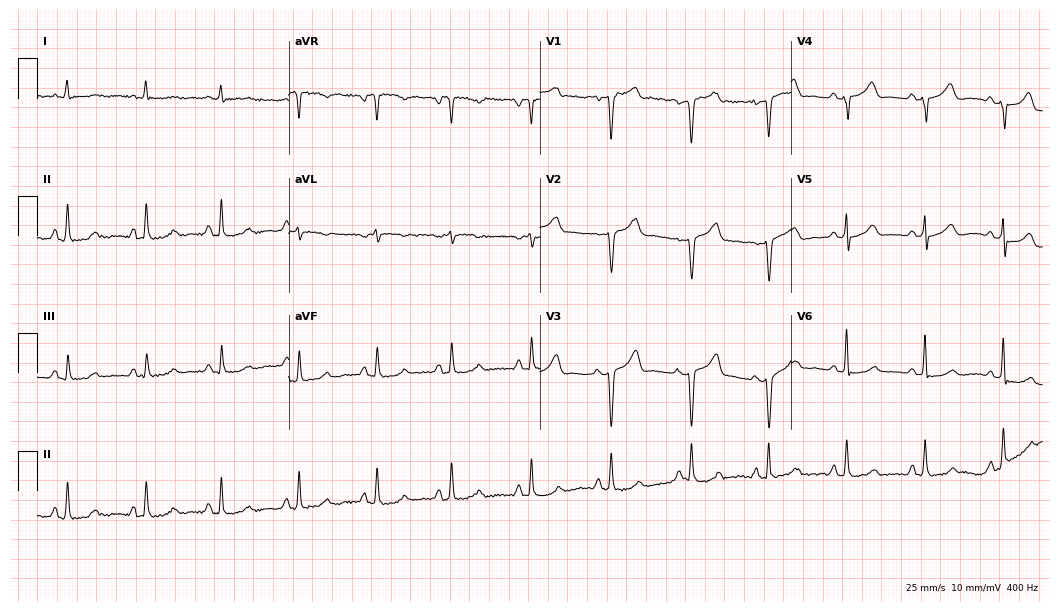
12-lead ECG from a 56-year-old female patient. No first-degree AV block, right bundle branch block, left bundle branch block, sinus bradycardia, atrial fibrillation or sinus tachycardia recorded for this tracing.